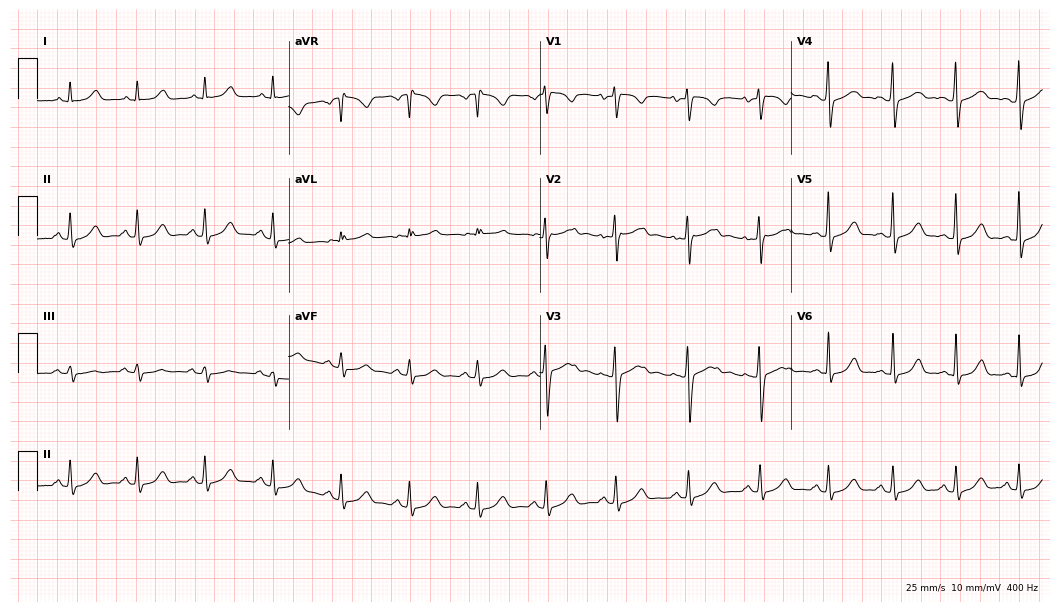
ECG — a female, 28 years old. Labelled as a normal ECG.